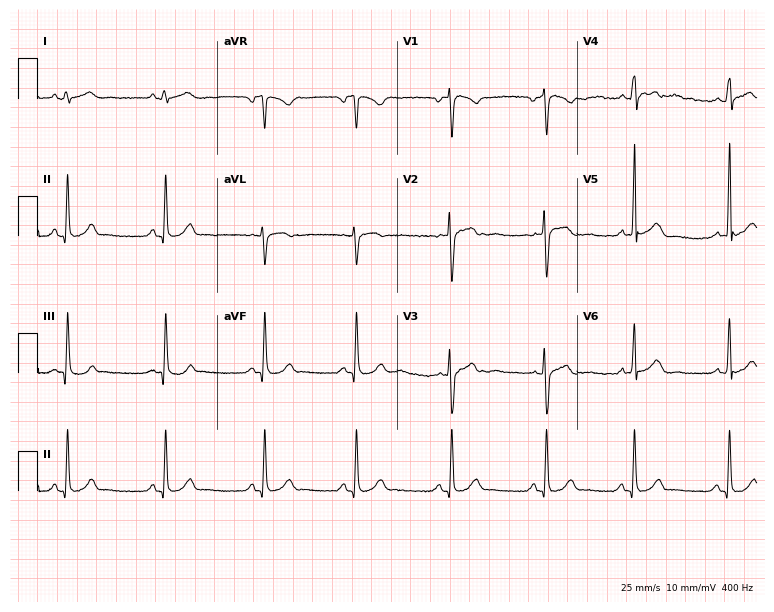
ECG (7.3-second recording at 400 Hz) — a female patient, 27 years old. Labelled as a normal ECG.